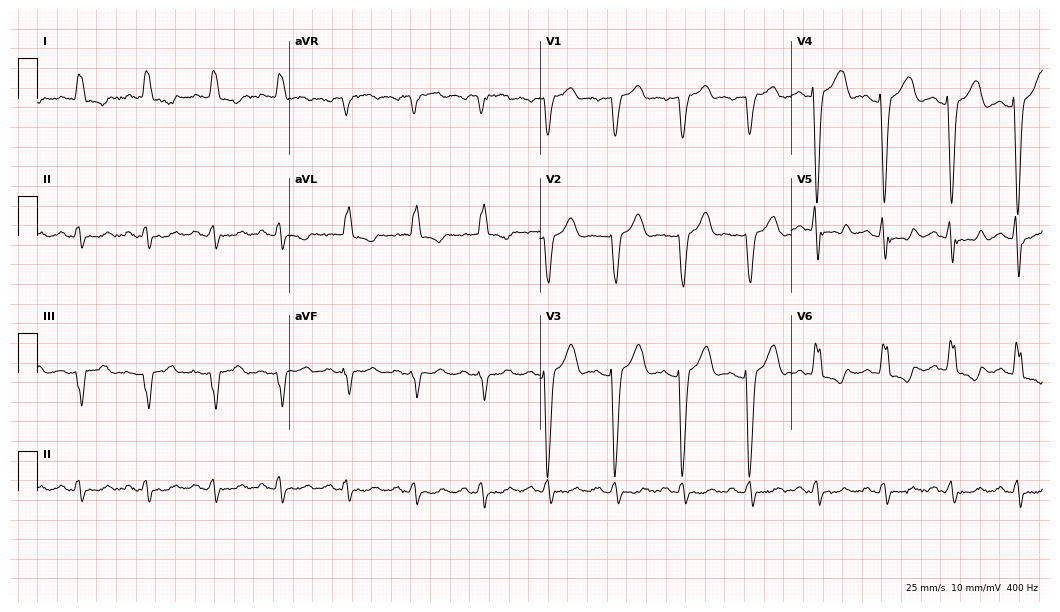
Electrocardiogram, a 65-year-old woman. Interpretation includes left bundle branch block.